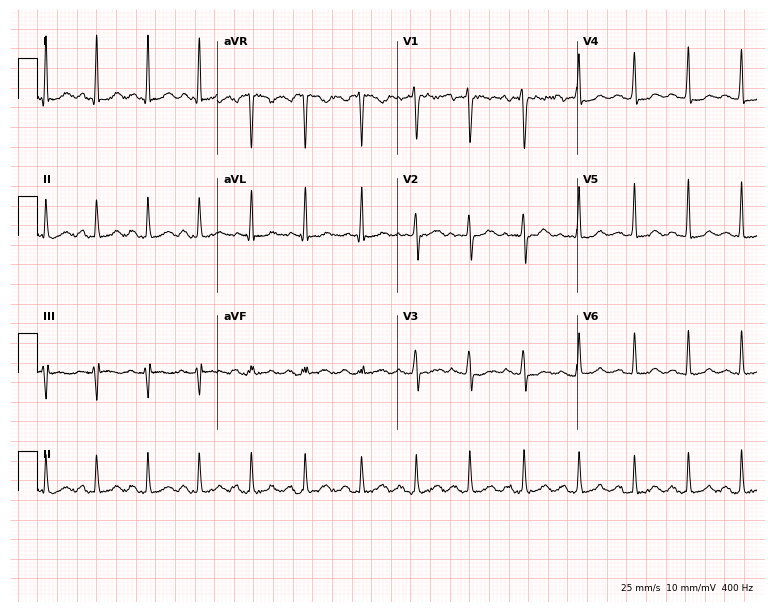
Electrocardiogram (7.3-second recording at 400 Hz), a woman, 48 years old. Of the six screened findings (first-degree AV block, right bundle branch block, left bundle branch block, sinus bradycardia, atrial fibrillation, sinus tachycardia), none is recorded.